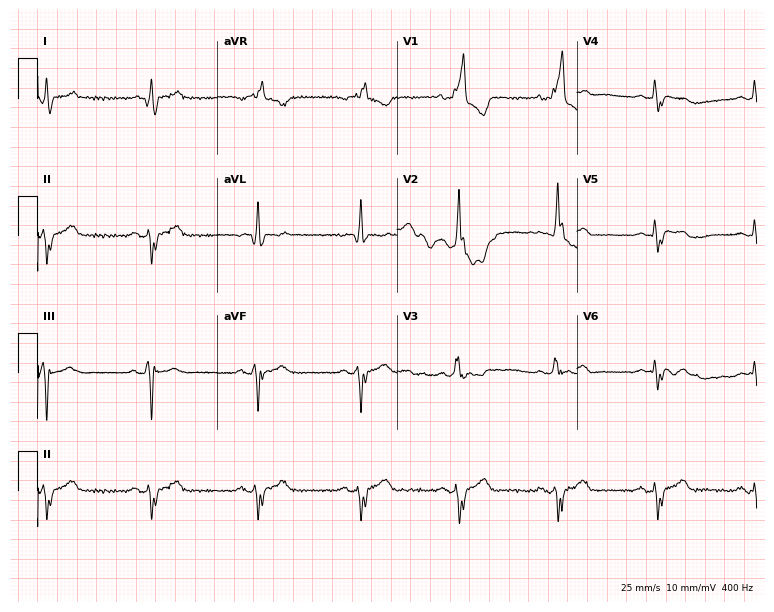
12-lead ECG from a woman, 76 years old. Findings include right bundle branch block.